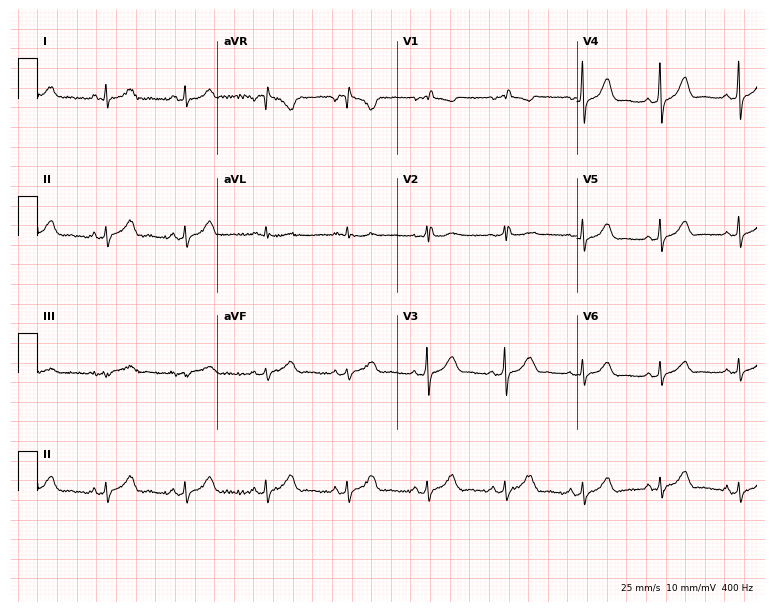
Resting 12-lead electrocardiogram. Patient: a female, 52 years old. Read as a normal ECG.